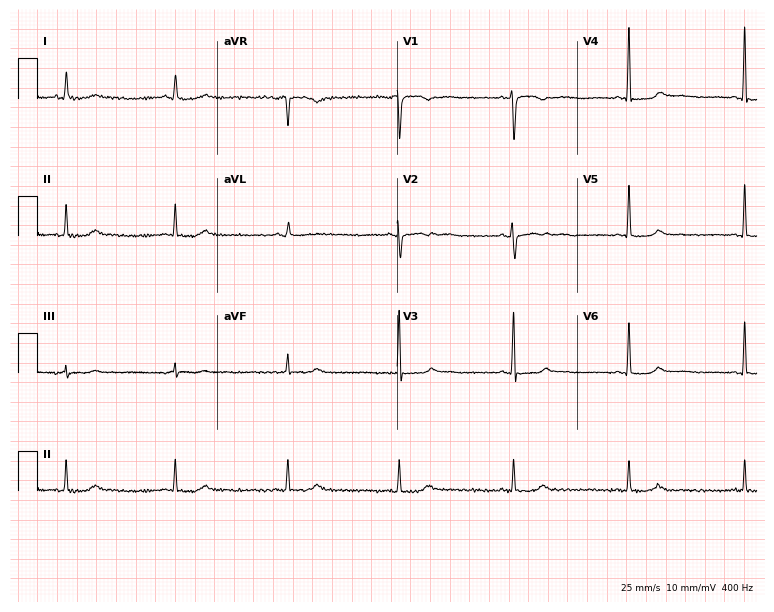
12-lead ECG from a woman, 47 years old. Screened for six findings — first-degree AV block, right bundle branch block, left bundle branch block, sinus bradycardia, atrial fibrillation, sinus tachycardia — none is recorded. Only these six findings were labelled.